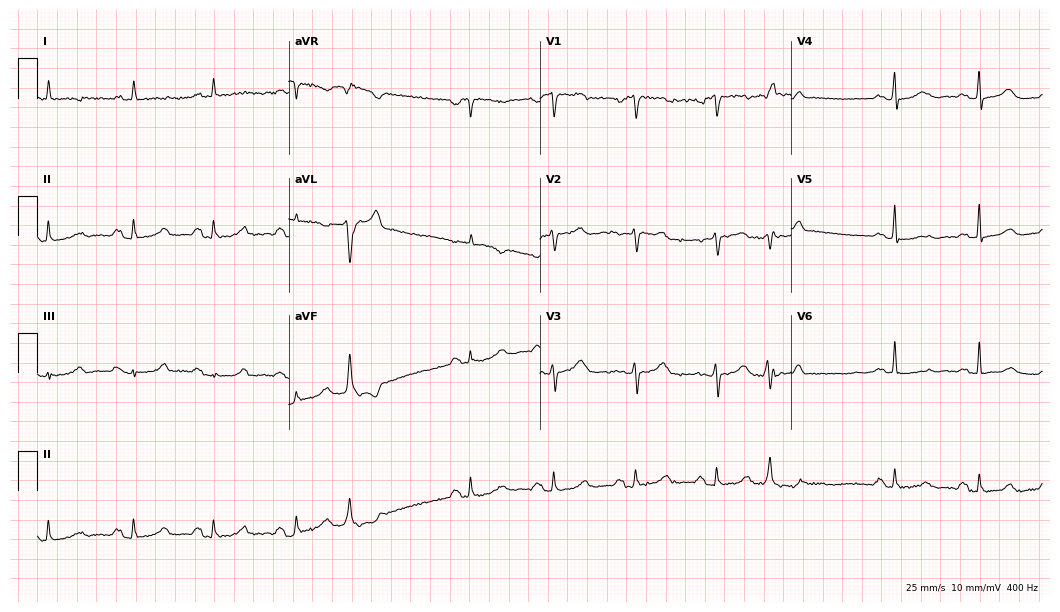
12-lead ECG from a female, 51 years old (10.2-second recording at 400 Hz). Recorded interpretation: within normal limits.